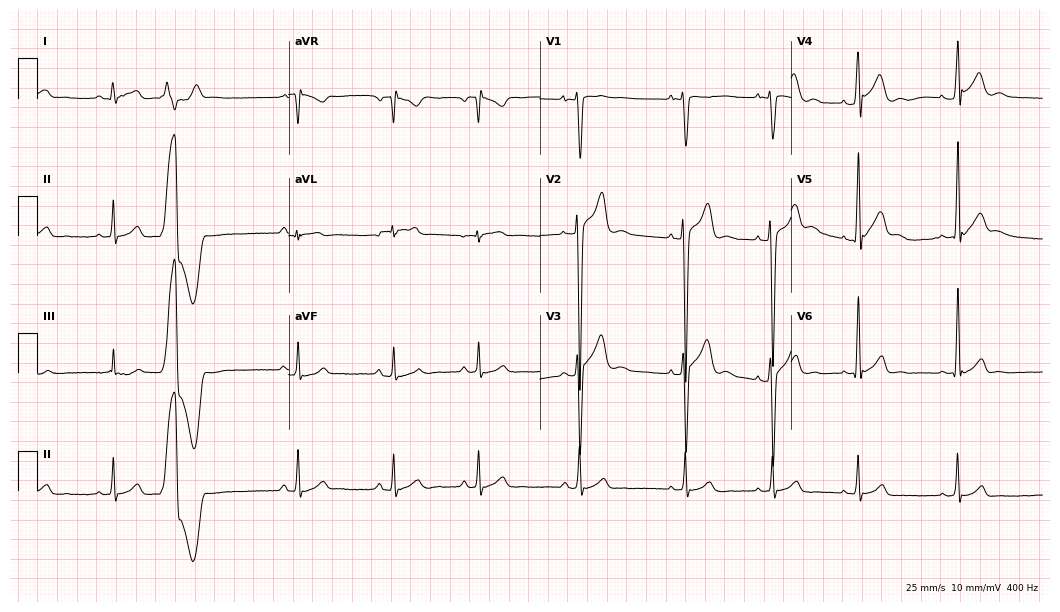
Standard 12-lead ECG recorded from a 19-year-old male (10.2-second recording at 400 Hz). None of these six findings is recorded: first-degree AV block, right bundle branch block, left bundle branch block, sinus bradycardia, atrial fibrillation, sinus tachycardia.